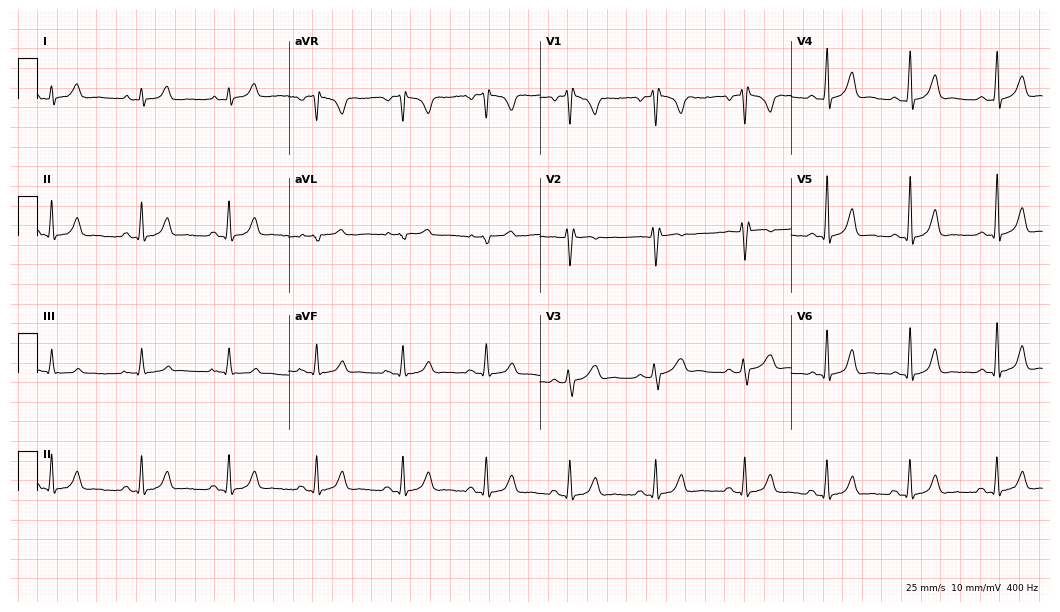
Resting 12-lead electrocardiogram. Patient: a woman, 24 years old. None of these six findings is recorded: first-degree AV block, right bundle branch block (RBBB), left bundle branch block (LBBB), sinus bradycardia, atrial fibrillation (AF), sinus tachycardia.